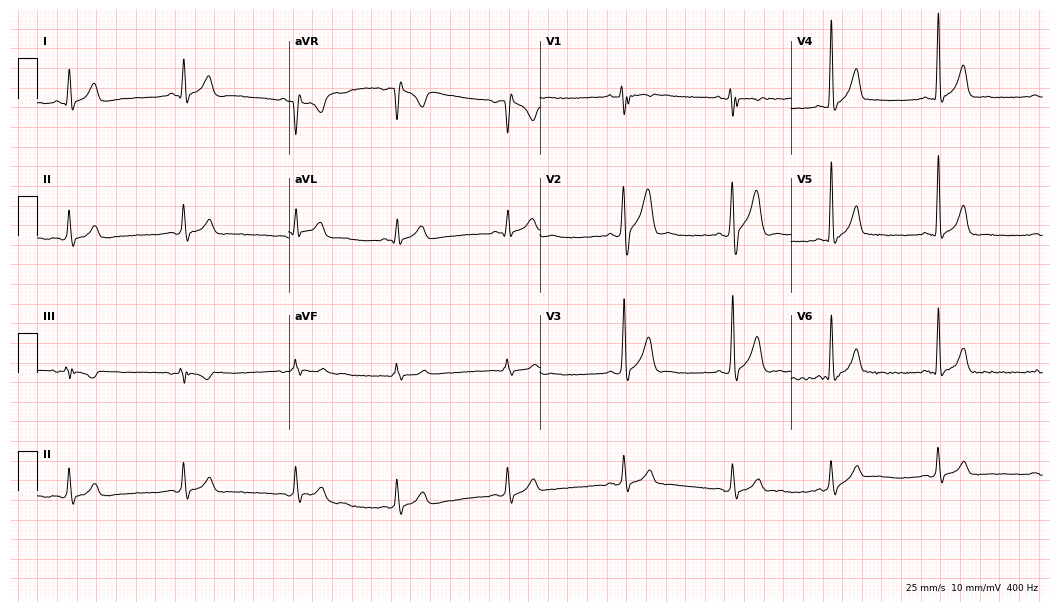
Resting 12-lead electrocardiogram (10.2-second recording at 400 Hz). Patient: a 24-year-old male. None of these six findings is recorded: first-degree AV block, right bundle branch block, left bundle branch block, sinus bradycardia, atrial fibrillation, sinus tachycardia. Other findings, if any, are not listed.